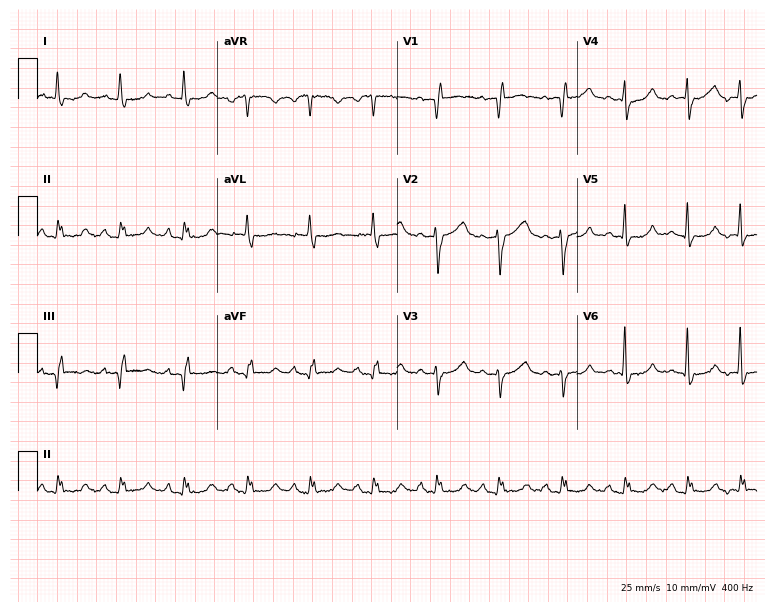
12-lead ECG (7.3-second recording at 400 Hz) from a male, 70 years old. Screened for six findings — first-degree AV block, right bundle branch block, left bundle branch block, sinus bradycardia, atrial fibrillation, sinus tachycardia — none is recorded. Only these six findings were labelled.